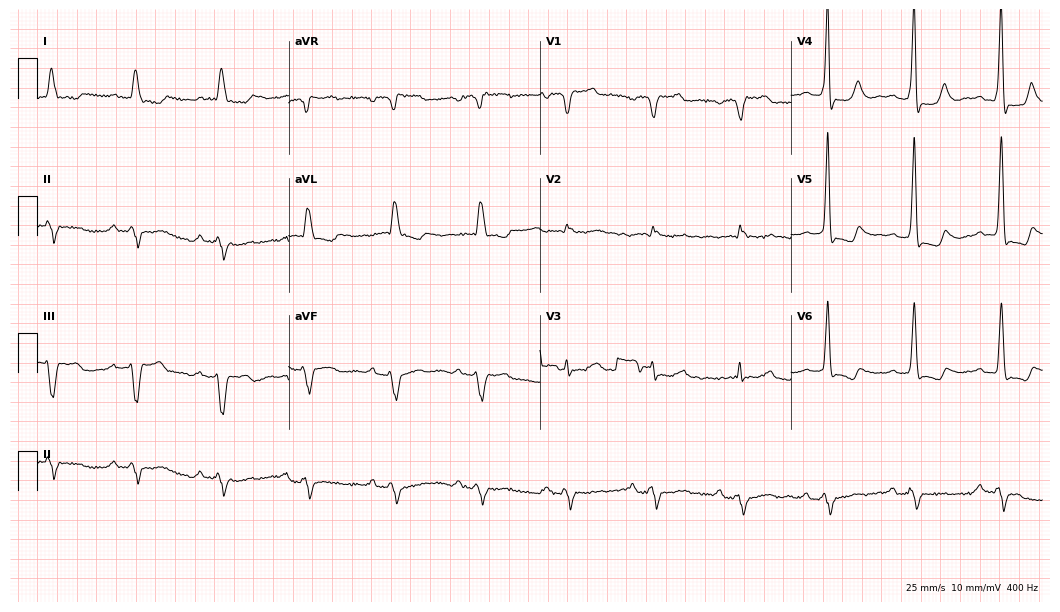
Standard 12-lead ECG recorded from a male patient, 78 years old (10.2-second recording at 400 Hz). The tracing shows first-degree AV block, left bundle branch block.